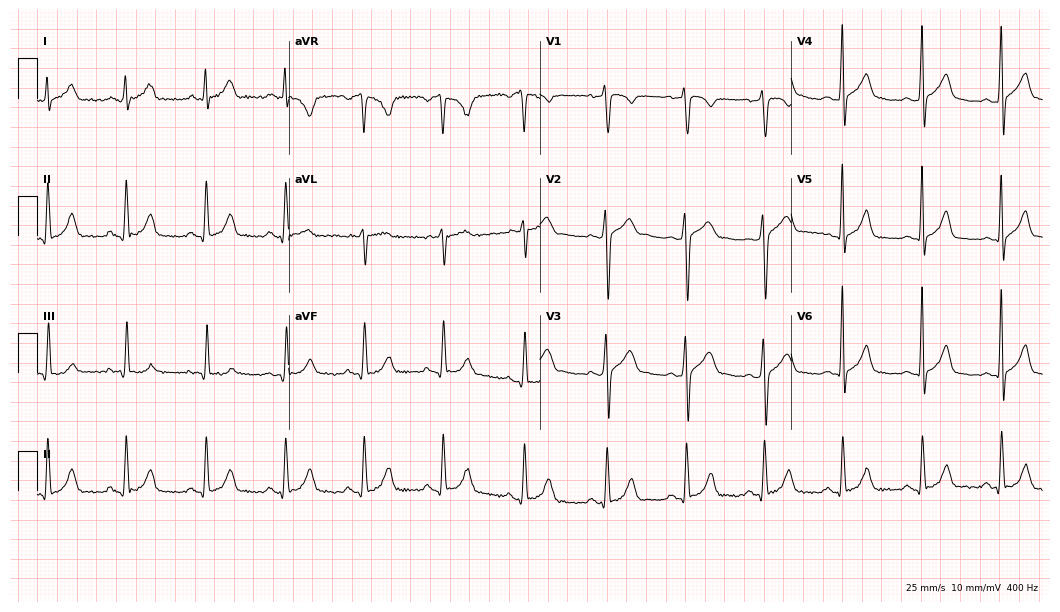
Standard 12-lead ECG recorded from a man, 24 years old (10.2-second recording at 400 Hz). Read as a normal ECG.